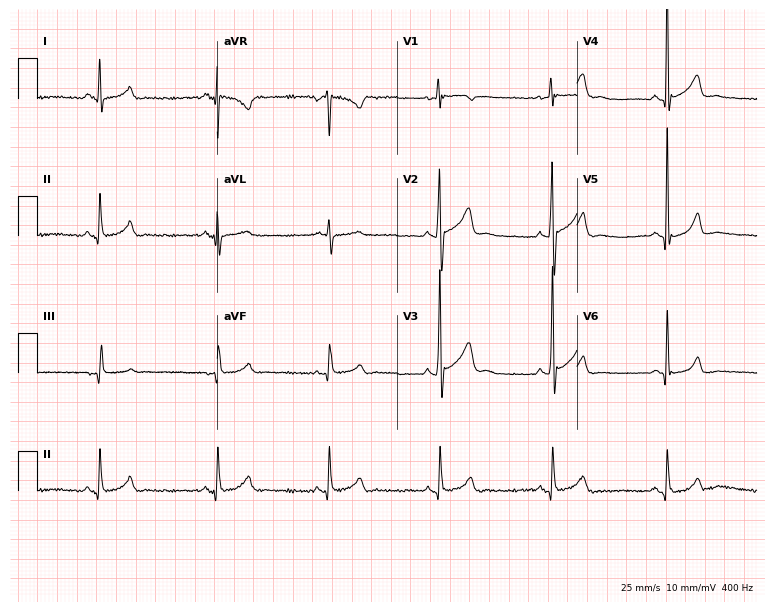
ECG — a 37-year-old male. Screened for six findings — first-degree AV block, right bundle branch block (RBBB), left bundle branch block (LBBB), sinus bradycardia, atrial fibrillation (AF), sinus tachycardia — none is recorded. Other findings, if any, are not listed.